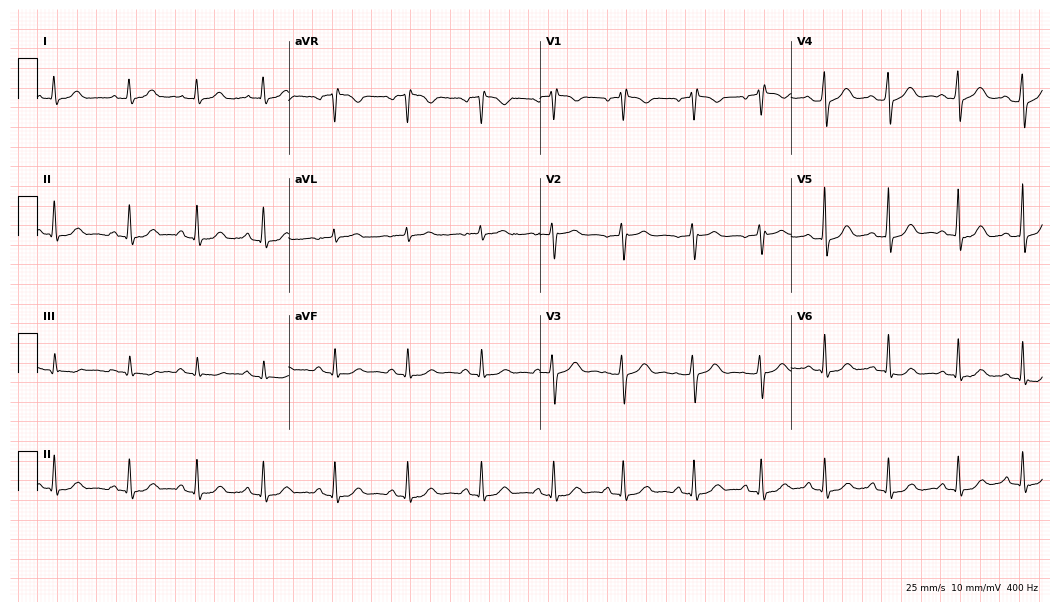
Resting 12-lead electrocardiogram. Patient: a female, 31 years old. Read as a normal ECG.